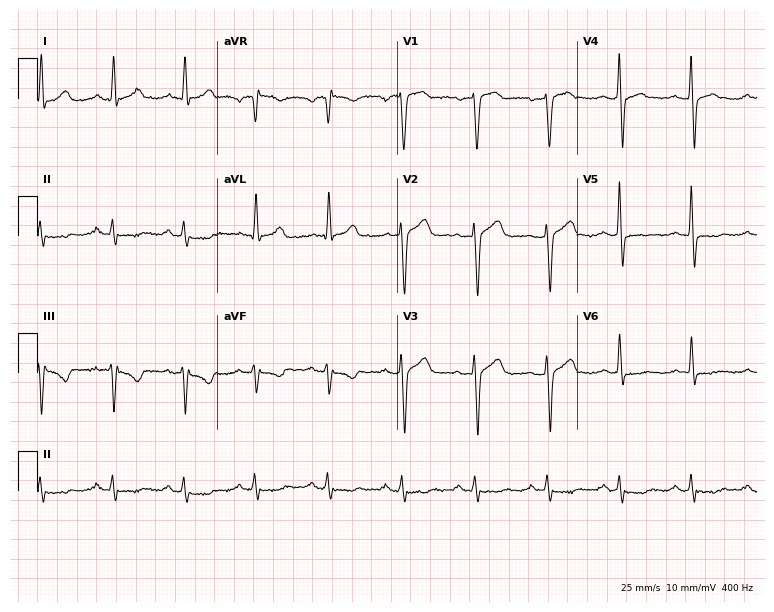
ECG — a 56-year-old man. Screened for six findings — first-degree AV block, right bundle branch block, left bundle branch block, sinus bradycardia, atrial fibrillation, sinus tachycardia — none is recorded. Only these six findings were labelled.